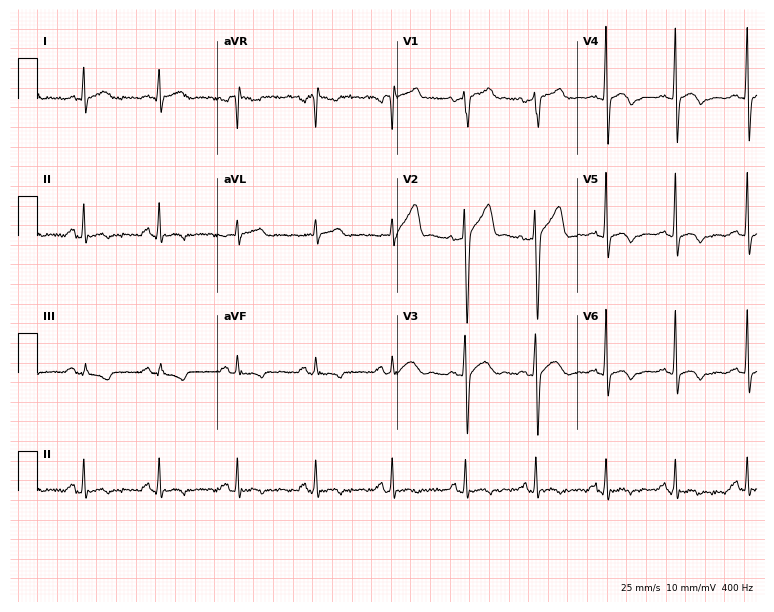
Resting 12-lead electrocardiogram (7.3-second recording at 400 Hz). Patient: a 40-year-old male. None of these six findings is recorded: first-degree AV block, right bundle branch block (RBBB), left bundle branch block (LBBB), sinus bradycardia, atrial fibrillation (AF), sinus tachycardia.